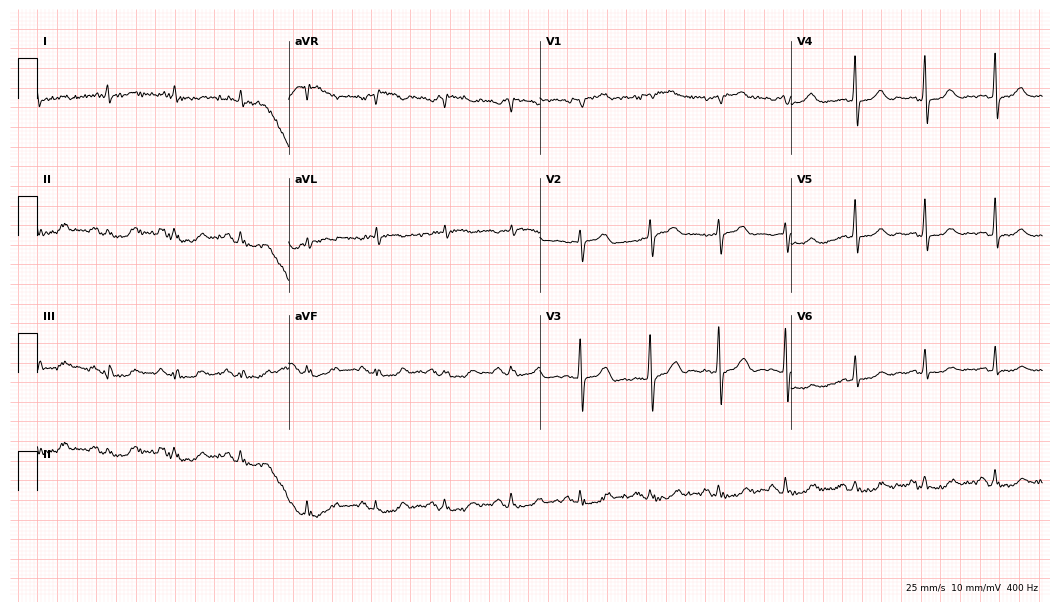
Standard 12-lead ECG recorded from a man, 70 years old. None of these six findings is recorded: first-degree AV block, right bundle branch block, left bundle branch block, sinus bradycardia, atrial fibrillation, sinus tachycardia.